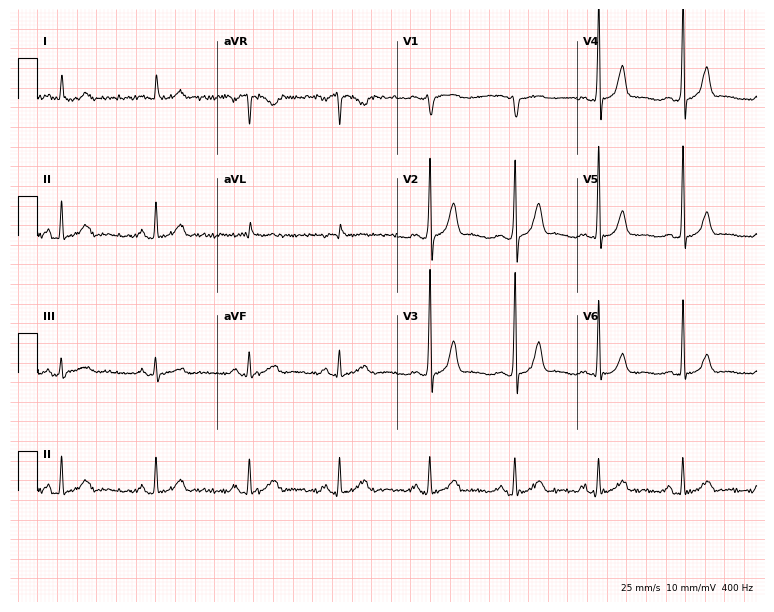
12-lead ECG from a male, 50 years old (7.3-second recording at 400 Hz). Recorded interpretation: within normal limits.